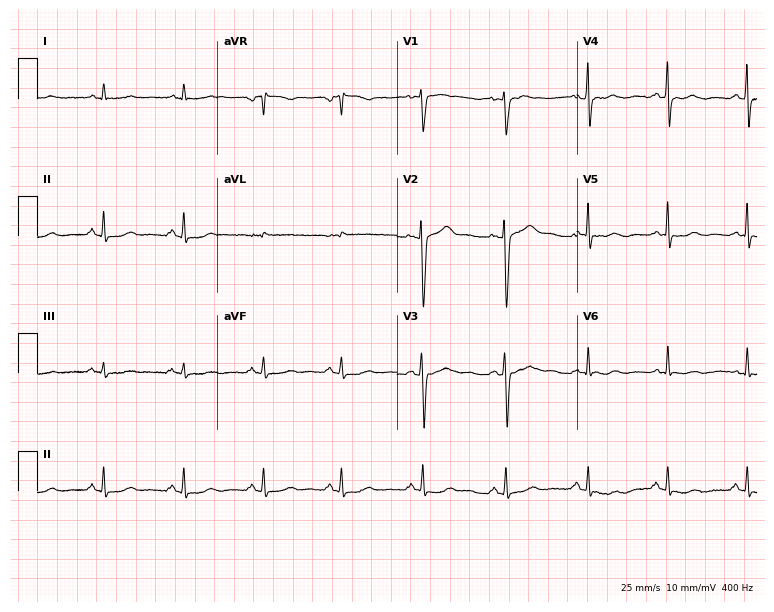
12-lead ECG from a woman, 44 years old. No first-degree AV block, right bundle branch block, left bundle branch block, sinus bradycardia, atrial fibrillation or sinus tachycardia recorded for this tracing. Findings outside these six are not listed.